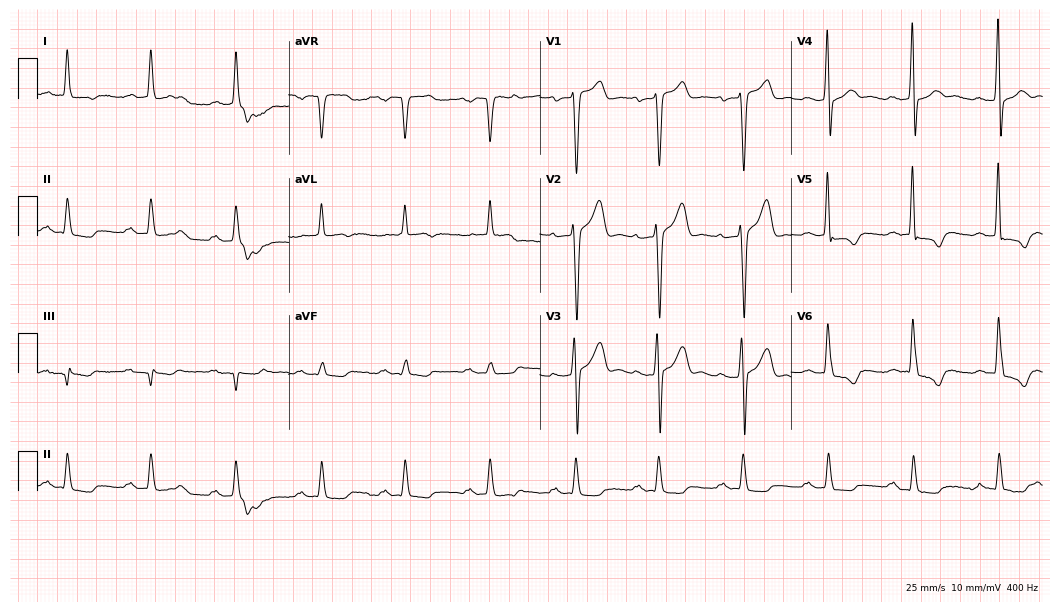
12-lead ECG from a 35-year-old man (10.2-second recording at 400 Hz). No first-degree AV block, right bundle branch block, left bundle branch block, sinus bradycardia, atrial fibrillation or sinus tachycardia recorded for this tracing.